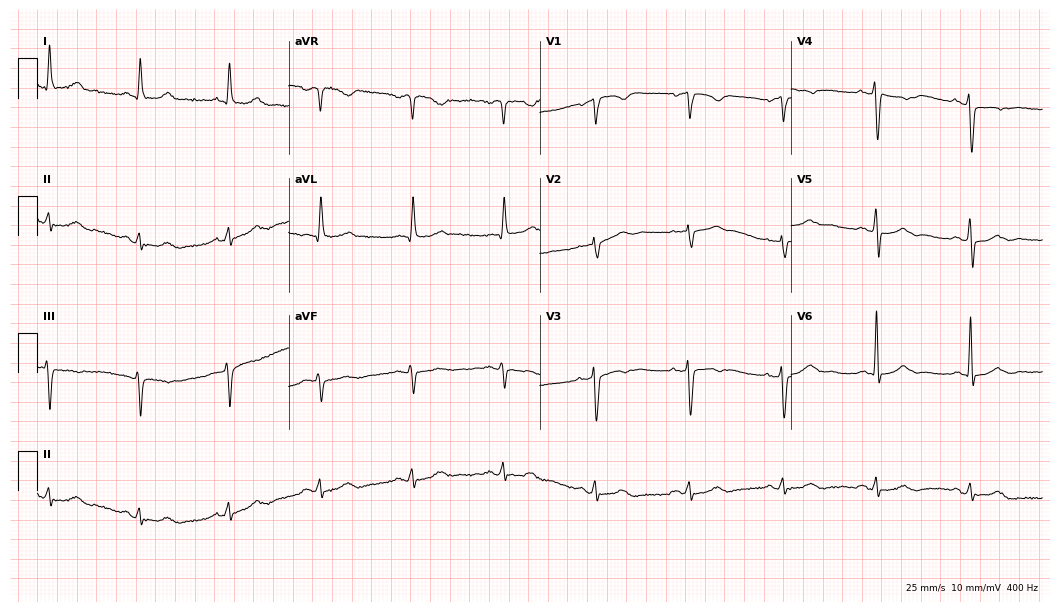
12-lead ECG from an 83-year-old female patient (10.2-second recording at 400 Hz). No first-degree AV block, right bundle branch block, left bundle branch block, sinus bradycardia, atrial fibrillation or sinus tachycardia recorded for this tracing.